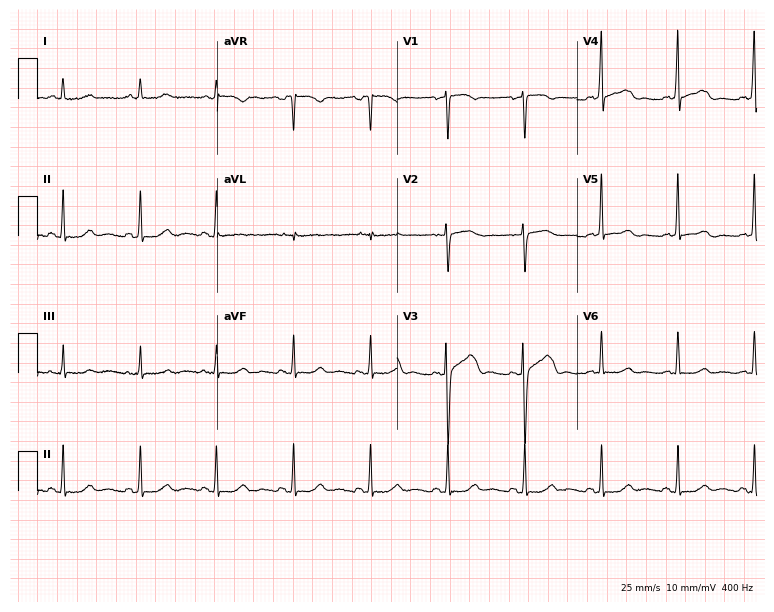
12-lead ECG from a female patient, 57 years old. Labelled as a normal ECG.